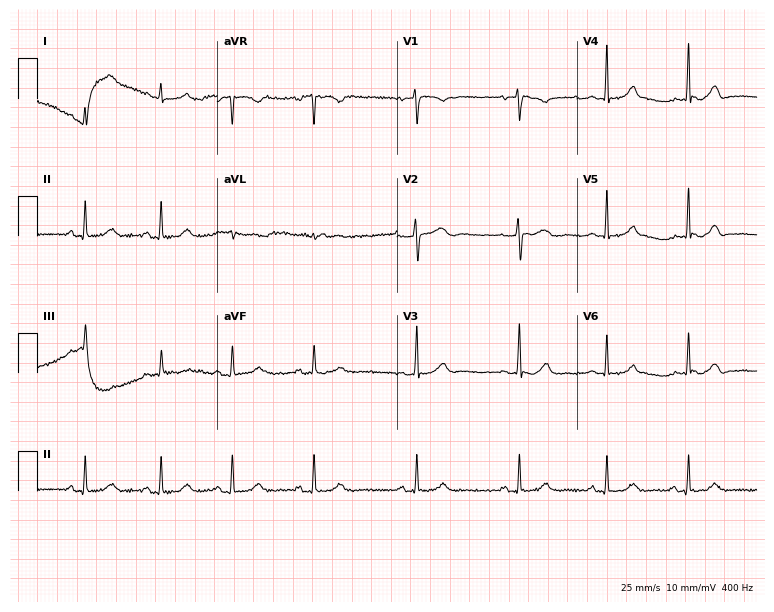
Resting 12-lead electrocardiogram. Patient: a female, 29 years old. None of these six findings is recorded: first-degree AV block, right bundle branch block, left bundle branch block, sinus bradycardia, atrial fibrillation, sinus tachycardia.